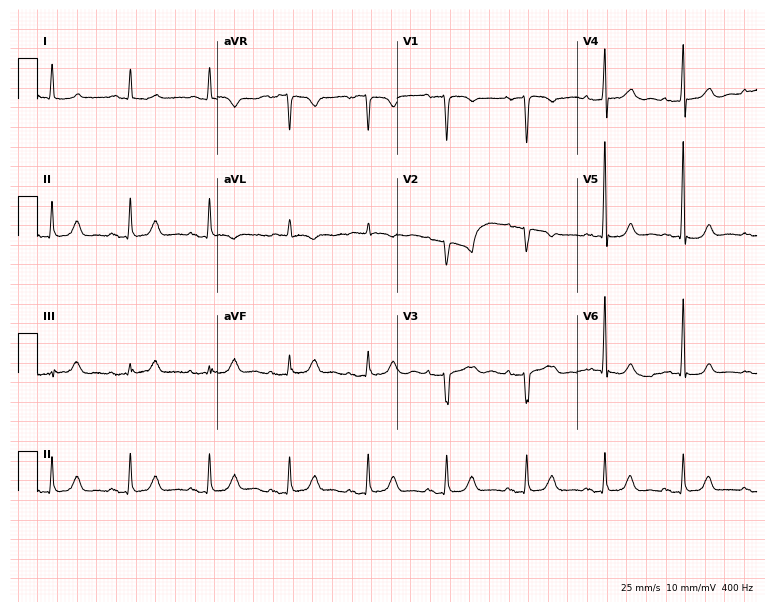
12-lead ECG (7.3-second recording at 400 Hz) from an 83-year-old woman. Screened for six findings — first-degree AV block, right bundle branch block, left bundle branch block, sinus bradycardia, atrial fibrillation, sinus tachycardia — none is recorded.